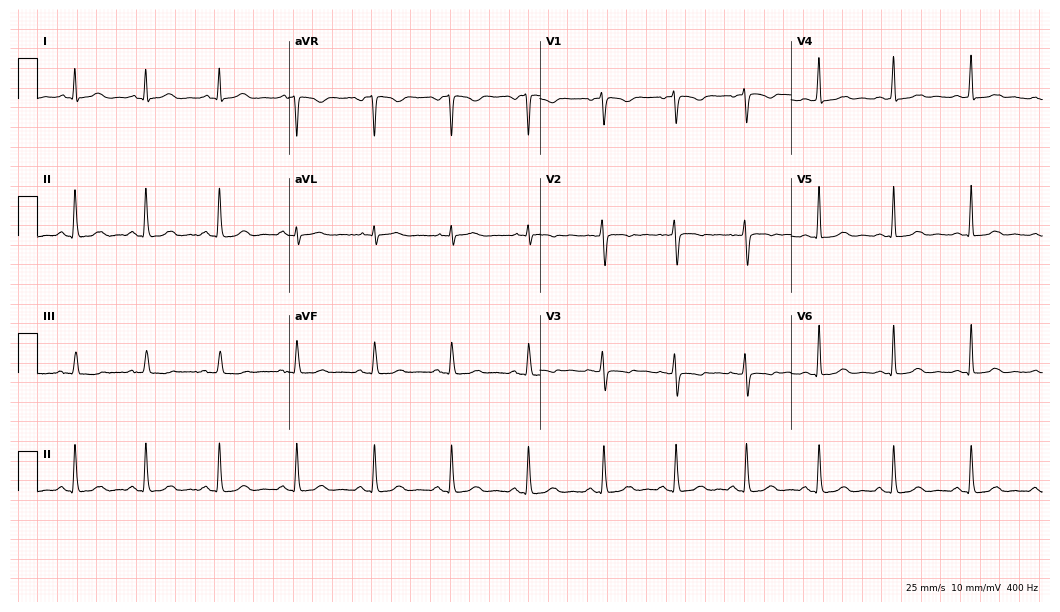
12-lead ECG from a 40-year-old female patient. No first-degree AV block, right bundle branch block (RBBB), left bundle branch block (LBBB), sinus bradycardia, atrial fibrillation (AF) or sinus tachycardia recorded for this tracing. Findings outside these six are not listed.